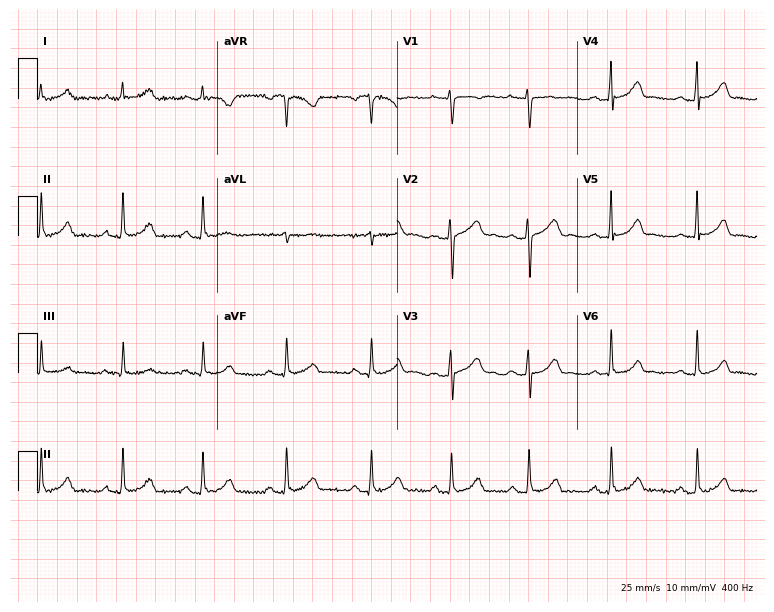
12-lead ECG from a 27-year-old female. Screened for six findings — first-degree AV block, right bundle branch block (RBBB), left bundle branch block (LBBB), sinus bradycardia, atrial fibrillation (AF), sinus tachycardia — none is recorded.